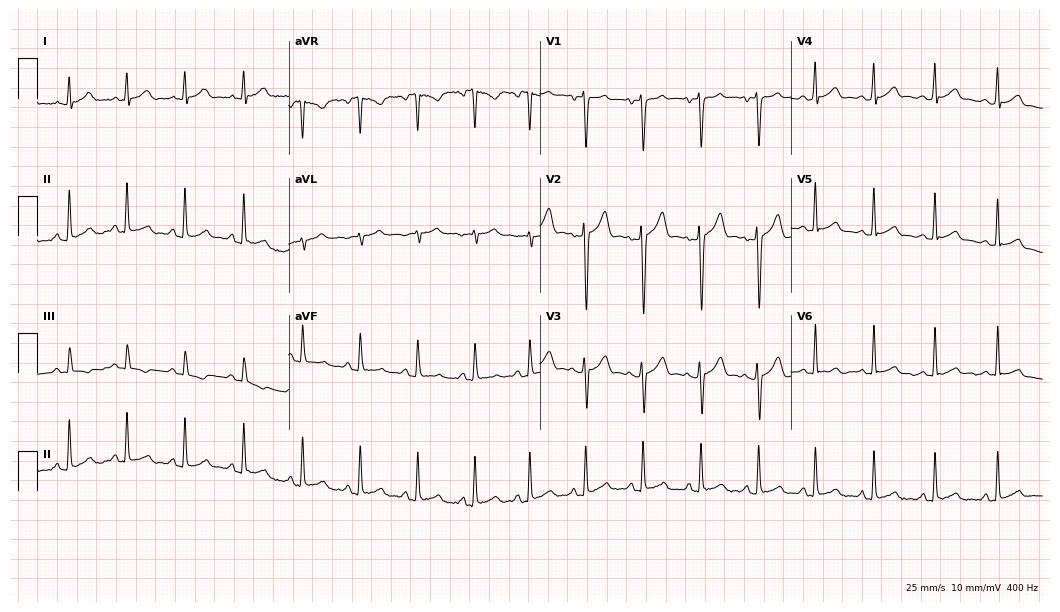
Standard 12-lead ECG recorded from a male patient, 25 years old (10.2-second recording at 400 Hz). The tracing shows sinus tachycardia (a sinus rate of 100 beats per minute or more).